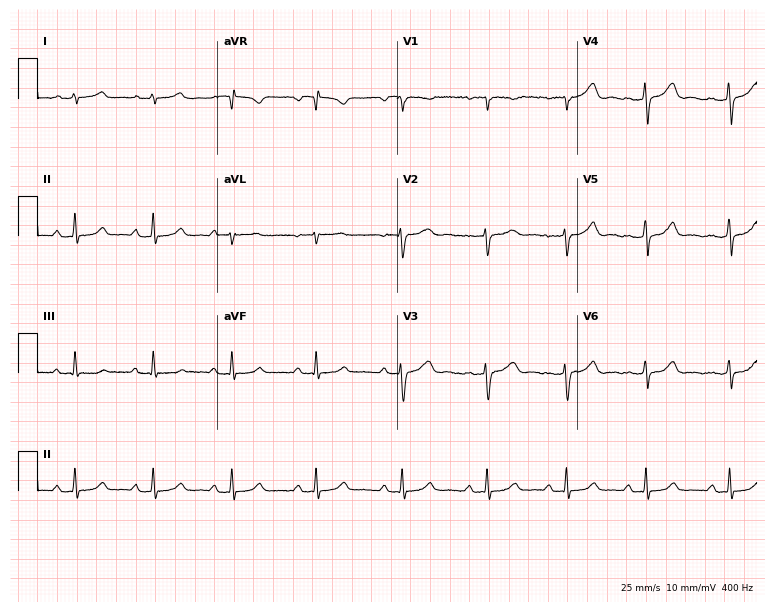
12-lead ECG from a 21-year-old female patient. No first-degree AV block, right bundle branch block, left bundle branch block, sinus bradycardia, atrial fibrillation or sinus tachycardia recorded for this tracing.